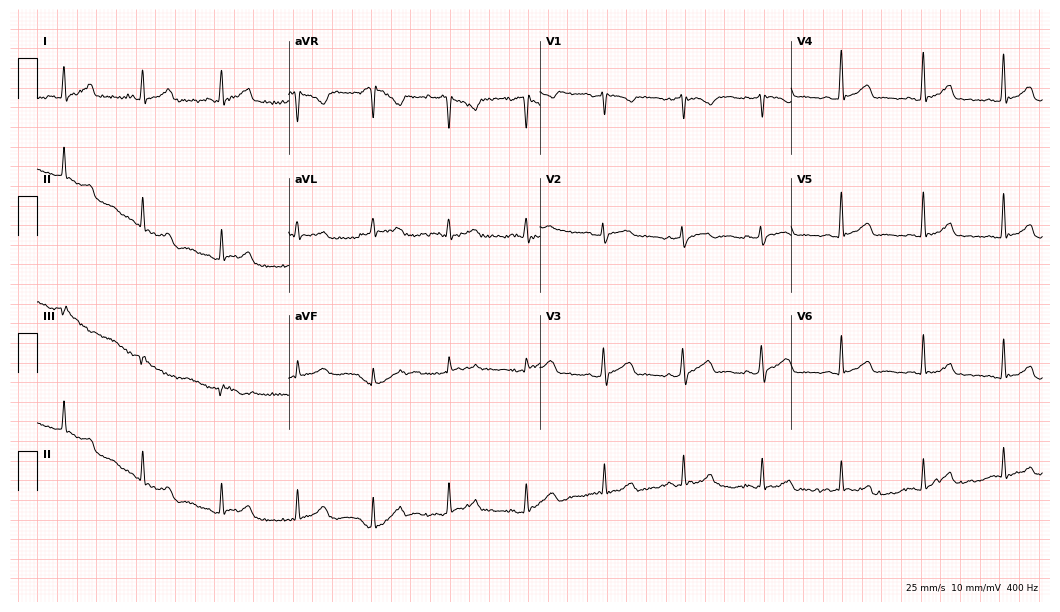
12-lead ECG from a female, 32 years old. Recorded interpretation: within normal limits.